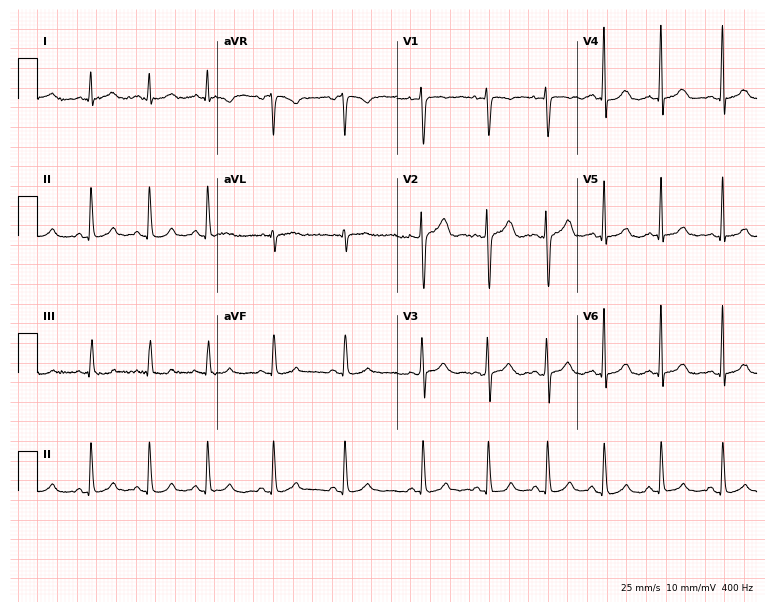
12-lead ECG from a female patient, 27 years old. No first-degree AV block, right bundle branch block, left bundle branch block, sinus bradycardia, atrial fibrillation or sinus tachycardia recorded for this tracing.